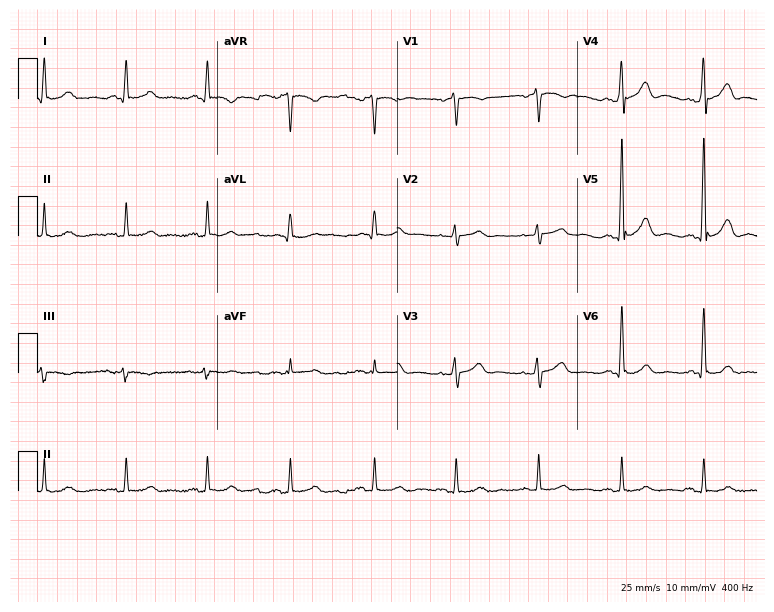
12-lead ECG from a 70-year-old man. Labelled as a normal ECG.